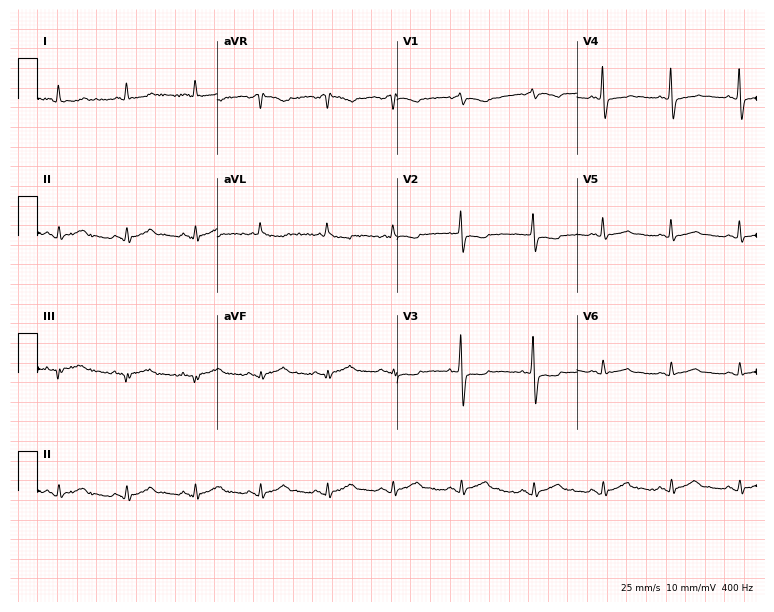
ECG (7.3-second recording at 400 Hz) — a 77-year-old woman. Screened for six findings — first-degree AV block, right bundle branch block, left bundle branch block, sinus bradycardia, atrial fibrillation, sinus tachycardia — none is recorded.